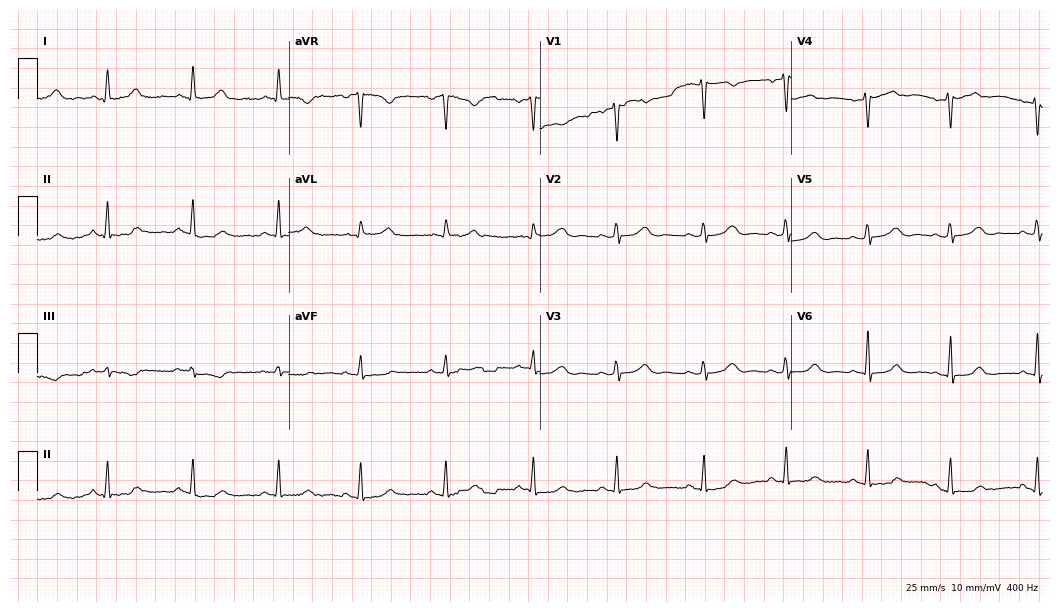
ECG (10.2-second recording at 400 Hz) — a woman, 42 years old. Screened for six findings — first-degree AV block, right bundle branch block (RBBB), left bundle branch block (LBBB), sinus bradycardia, atrial fibrillation (AF), sinus tachycardia — none is recorded.